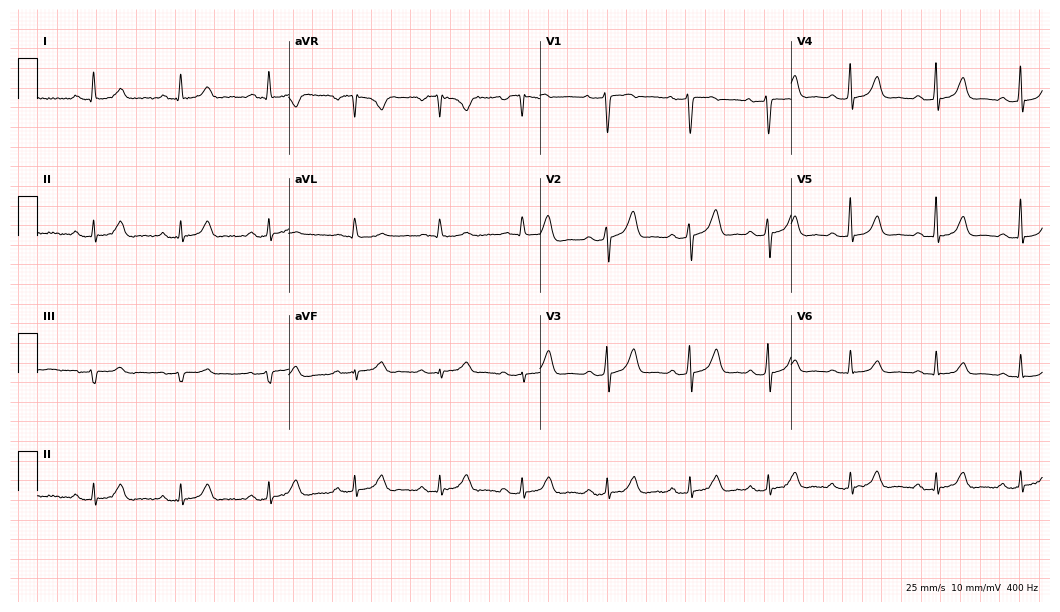
ECG — a female patient, 47 years old. Screened for six findings — first-degree AV block, right bundle branch block, left bundle branch block, sinus bradycardia, atrial fibrillation, sinus tachycardia — none is recorded. Only these six findings were labelled.